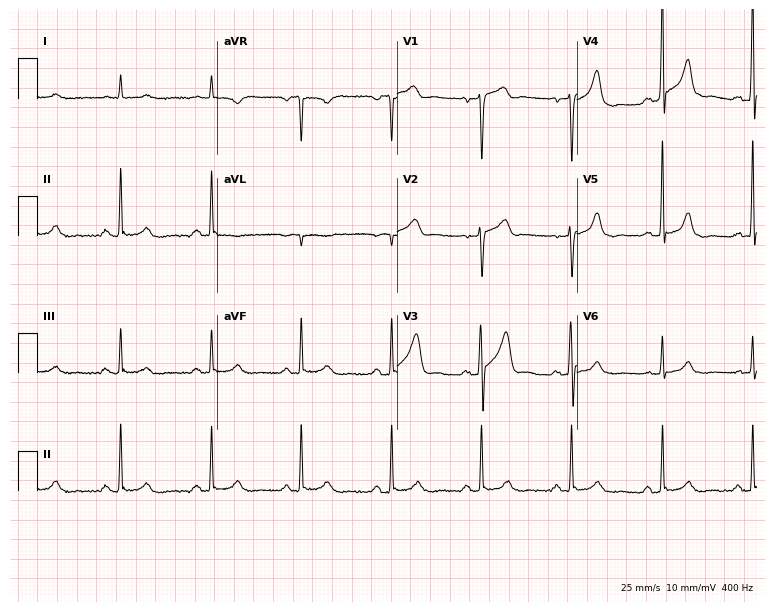
ECG (7.3-second recording at 400 Hz) — a male patient, 60 years old. Labelled as a normal ECG.